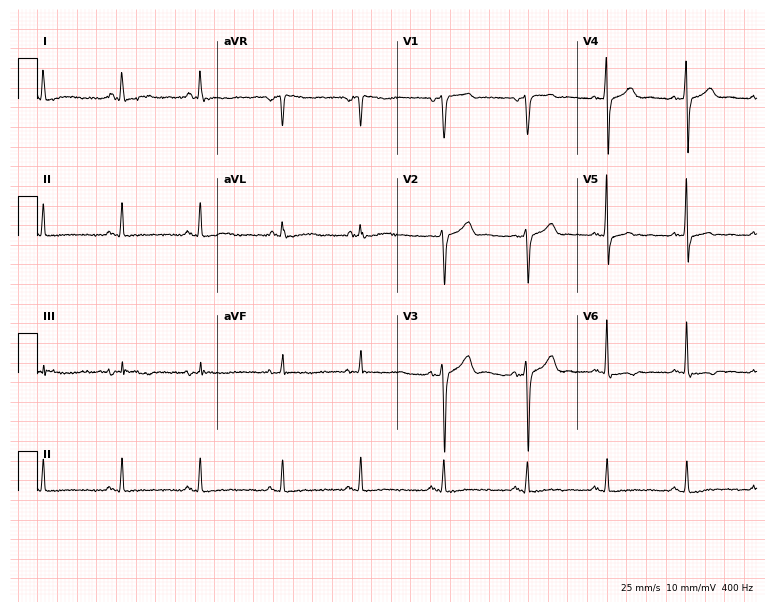
12-lead ECG from a 53-year-old male. Screened for six findings — first-degree AV block, right bundle branch block (RBBB), left bundle branch block (LBBB), sinus bradycardia, atrial fibrillation (AF), sinus tachycardia — none is recorded.